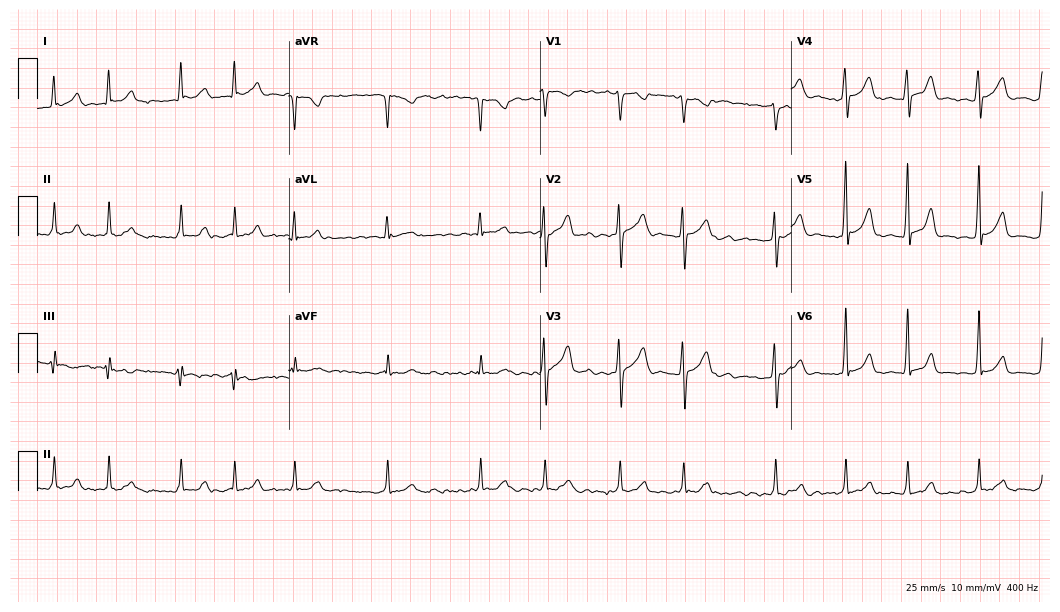
Standard 12-lead ECG recorded from a 33-year-old female patient (10.2-second recording at 400 Hz). The tracing shows atrial fibrillation.